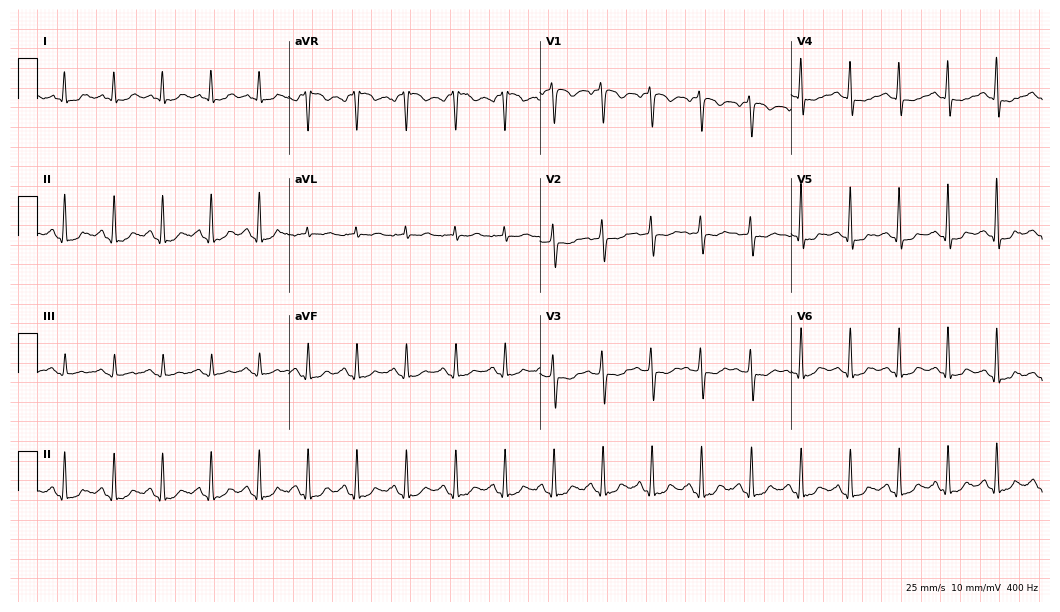
ECG — a 58-year-old woman. Findings include sinus tachycardia (a sinus rate of 100 beats per minute or more).